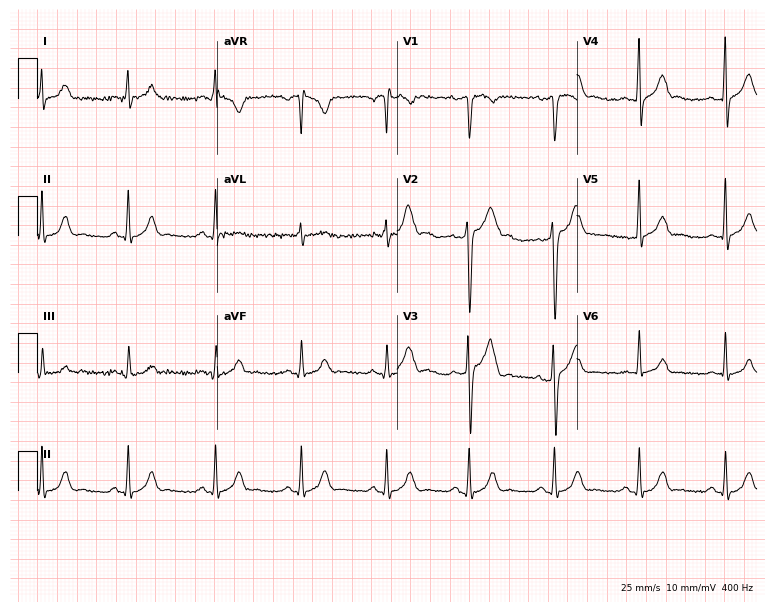
Electrocardiogram (7.3-second recording at 400 Hz), a man, 31 years old. Overall reading on record: normal ECG.